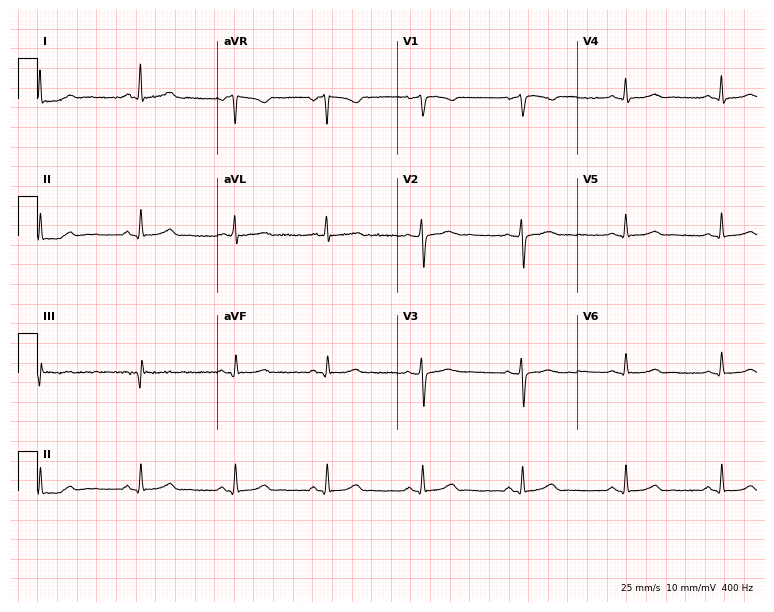
ECG (7.3-second recording at 400 Hz) — a 48-year-old female patient. Screened for six findings — first-degree AV block, right bundle branch block, left bundle branch block, sinus bradycardia, atrial fibrillation, sinus tachycardia — none is recorded.